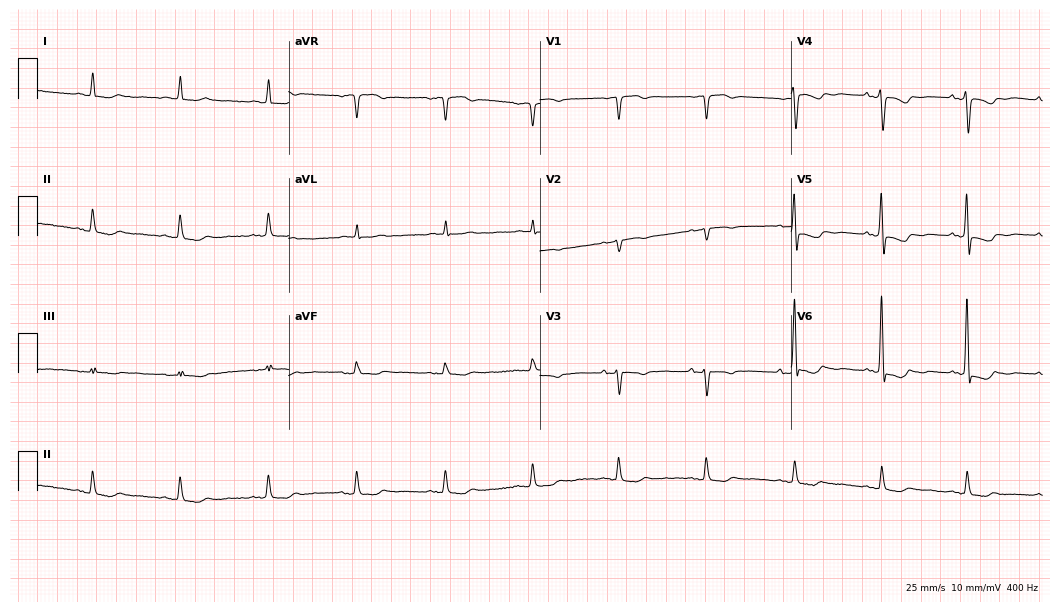
ECG — a female, 81 years old. Screened for six findings — first-degree AV block, right bundle branch block, left bundle branch block, sinus bradycardia, atrial fibrillation, sinus tachycardia — none is recorded.